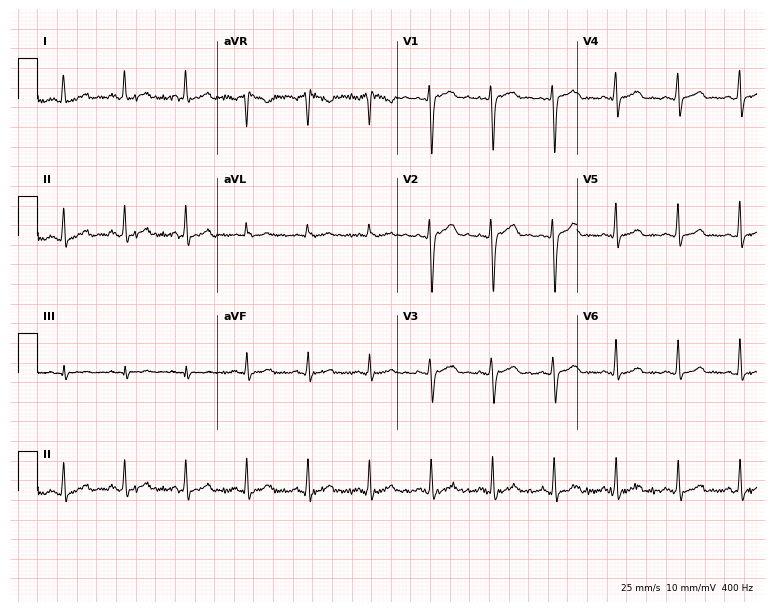
12-lead ECG from a female patient, 27 years old. Screened for six findings — first-degree AV block, right bundle branch block, left bundle branch block, sinus bradycardia, atrial fibrillation, sinus tachycardia — none is recorded.